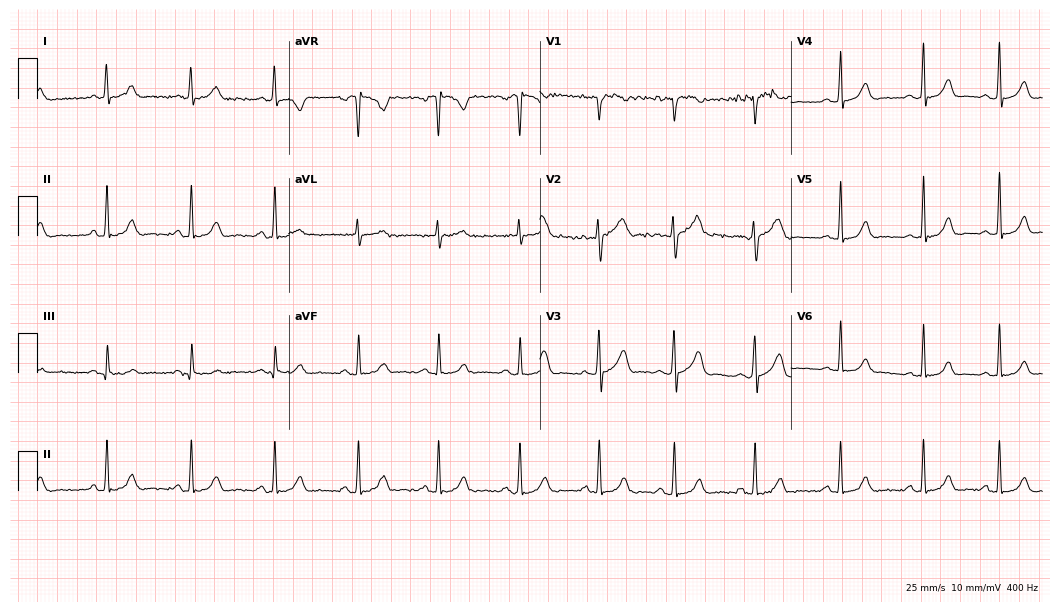
Resting 12-lead electrocardiogram (10.2-second recording at 400 Hz). Patient: a woman, 20 years old. Read as a normal ECG.